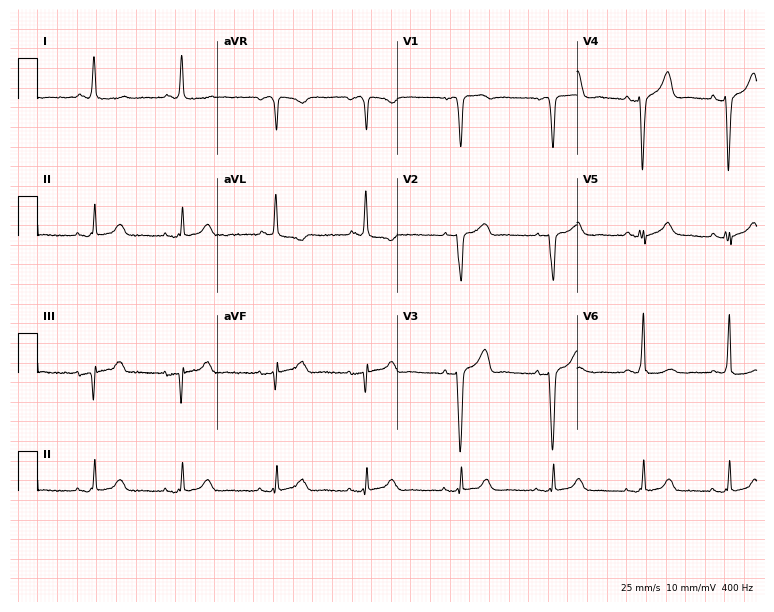
Standard 12-lead ECG recorded from a woman, 70 years old. None of these six findings is recorded: first-degree AV block, right bundle branch block (RBBB), left bundle branch block (LBBB), sinus bradycardia, atrial fibrillation (AF), sinus tachycardia.